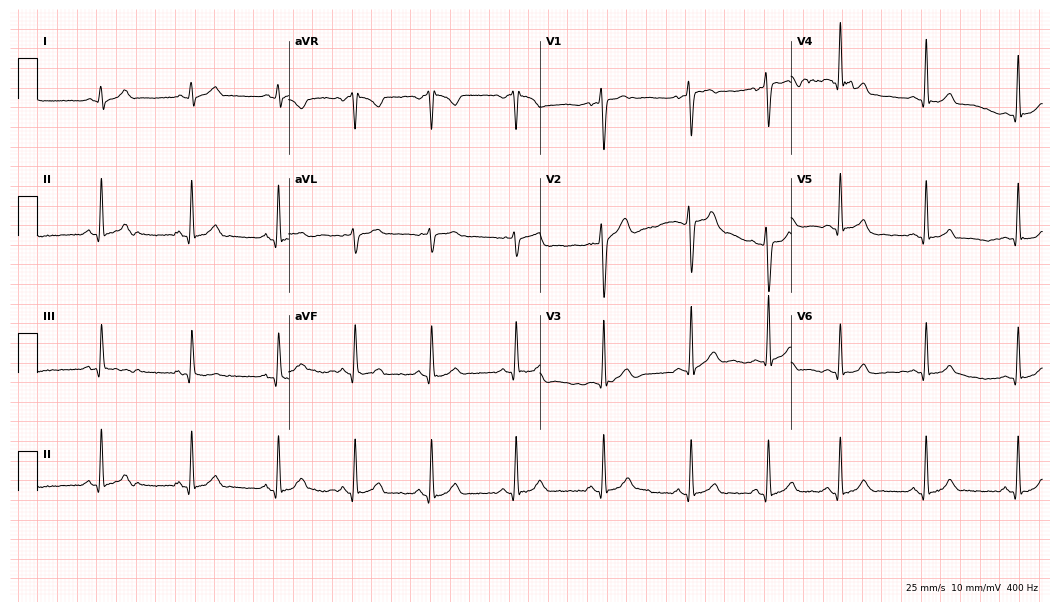
Standard 12-lead ECG recorded from a 26-year-old male. None of these six findings is recorded: first-degree AV block, right bundle branch block, left bundle branch block, sinus bradycardia, atrial fibrillation, sinus tachycardia.